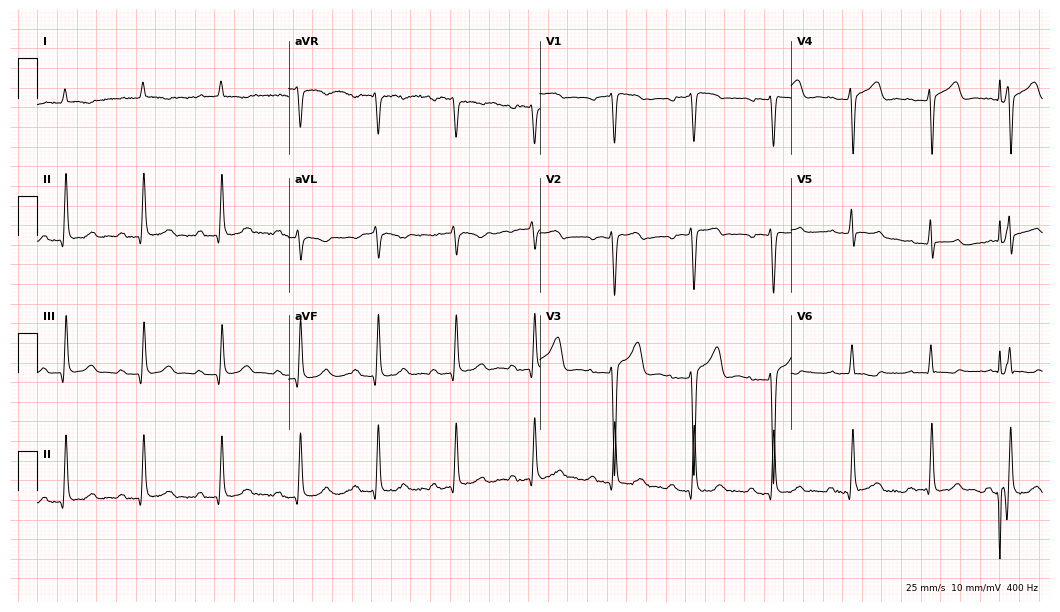
Standard 12-lead ECG recorded from a man, 85 years old (10.2-second recording at 400 Hz). The tracing shows first-degree AV block.